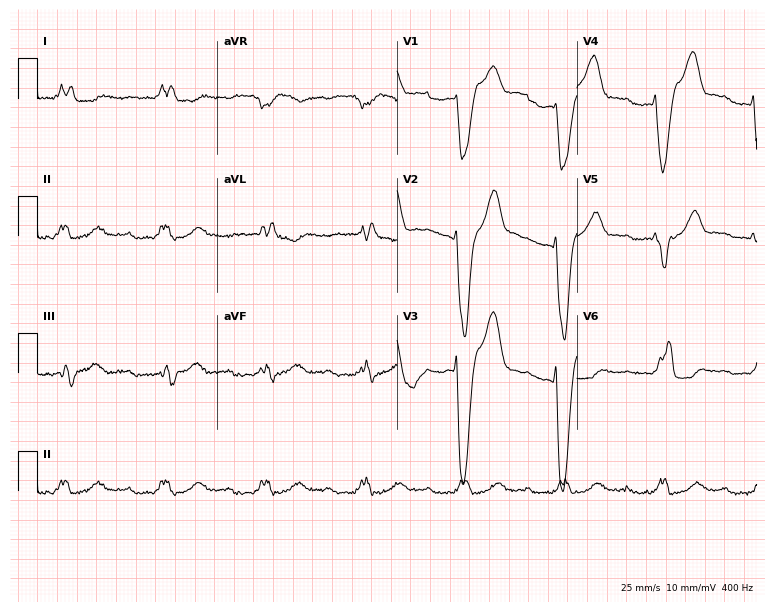
Electrocardiogram, a female patient, 77 years old. Interpretation includes first-degree AV block, left bundle branch block.